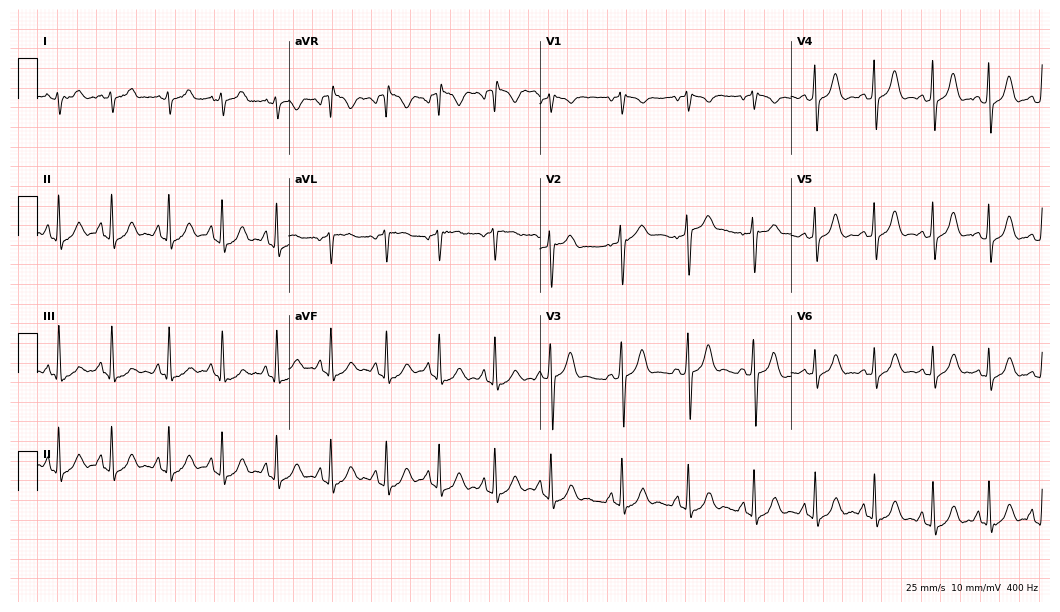
12-lead ECG from a female, 17 years old. Recorded interpretation: within normal limits.